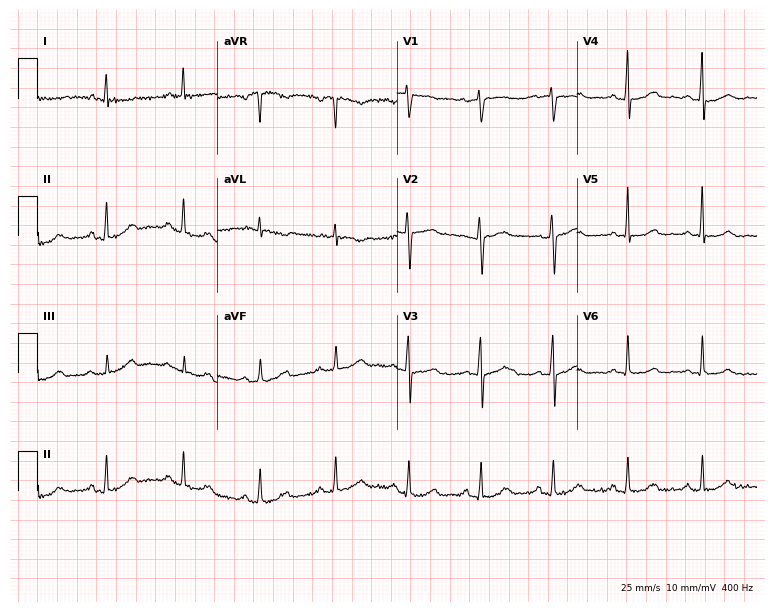
ECG — a female patient, 56 years old. Labelled as a normal ECG.